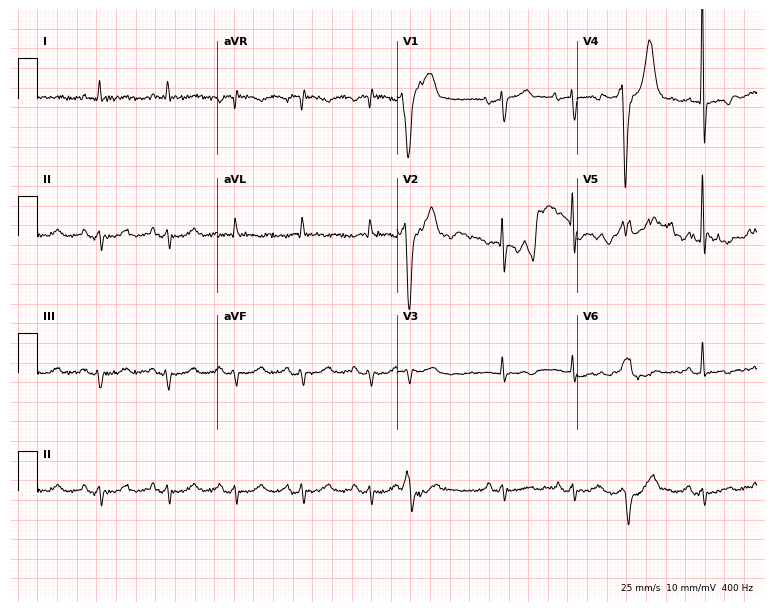
Resting 12-lead electrocardiogram. Patient: a woman, 79 years old. None of these six findings is recorded: first-degree AV block, right bundle branch block, left bundle branch block, sinus bradycardia, atrial fibrillation, sinus tachycardia.